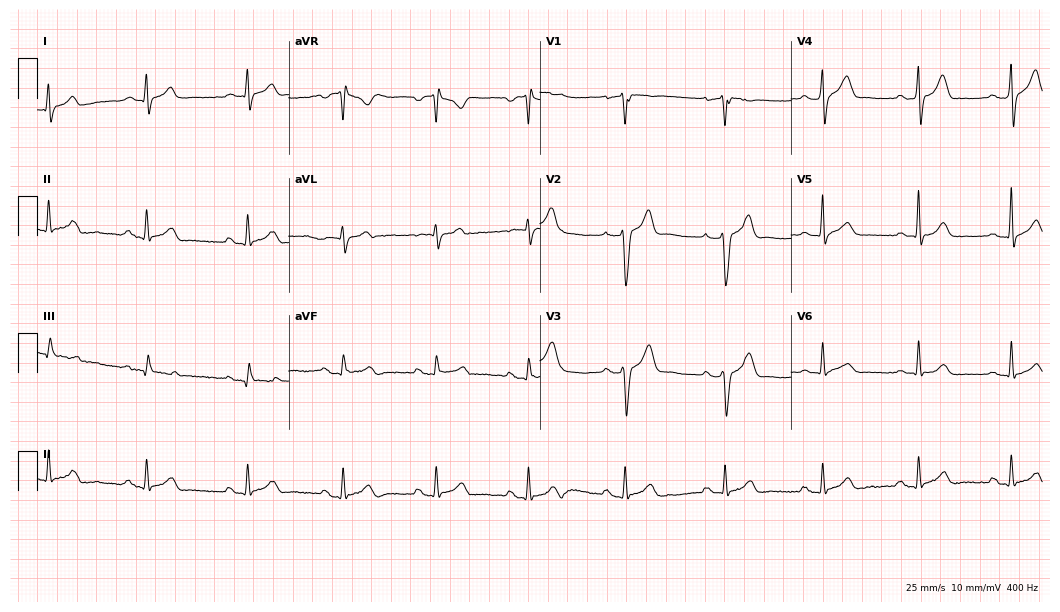
Standard 12-lead ECG recorded from a 27-year-old man (10.2-second recording at 400 Hz). None of these six findings is recorded: first-degree AV block, right bundle branch block, left bundle branch block, sinus bradycardia, atrial fibrillation, sinus tachycardia. Other findings, if any, are not listed.